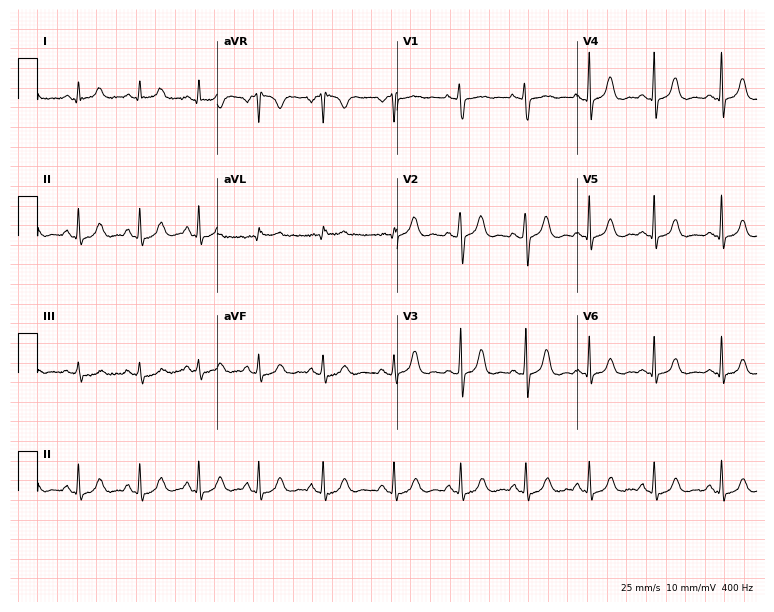
Resting 12-lead electrocardiogram (7.3-second recording at 400 Hz). Patient: a female, 37 years old. Read as a normal ECG.